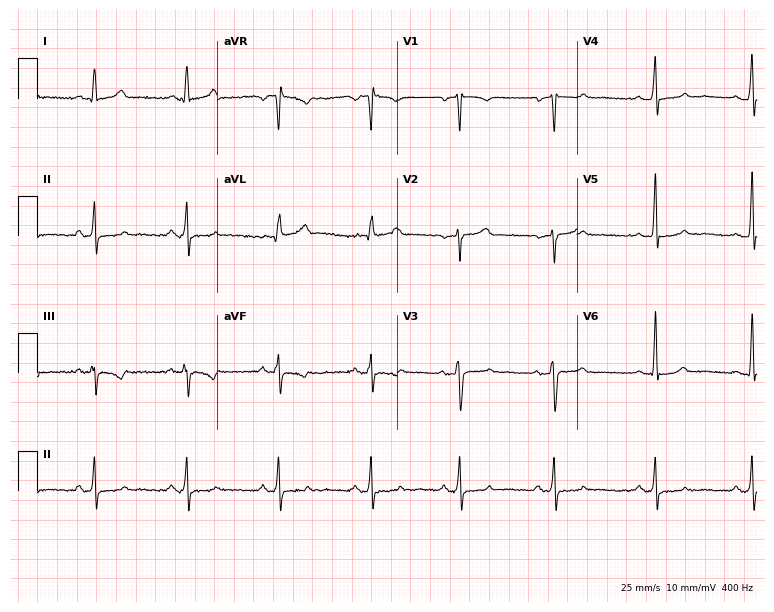
Resting 12-lead electrocardiogram (7.3-second recording at 400 Hz). Patient: a female, 34 years old. Read as a normal ECG.